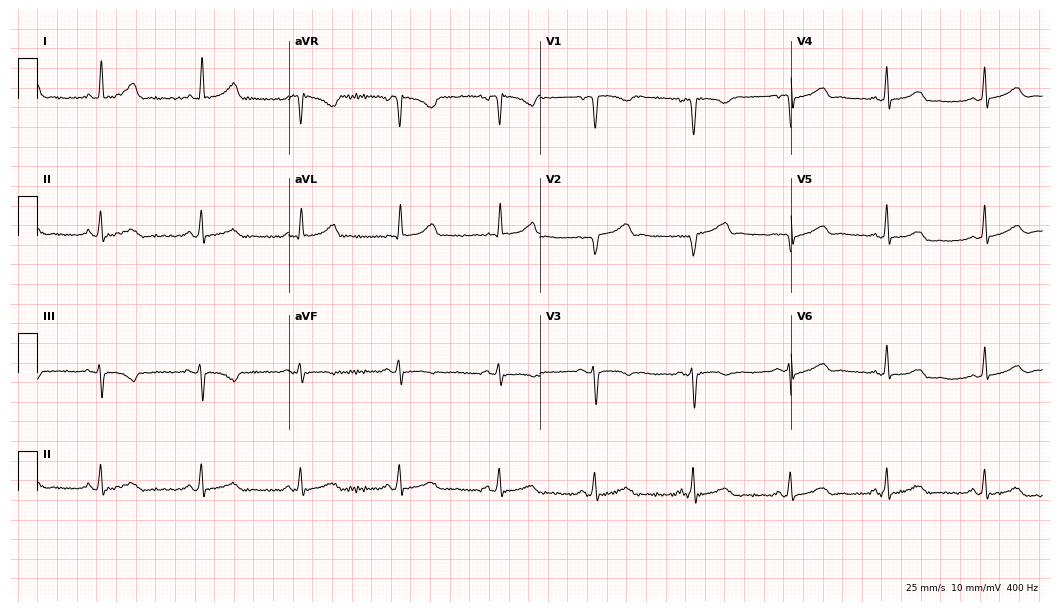
Resting 12-lead electrocardiogram (10.2-second recording at 400 Hz). Patient: a 34-year-old woman. None of these six findings is recorded: first-degree AV block, right bundle branch block, left bundle branch block, sinus bradycardia, atrial fibrillation, sinus tachycardia. Only these six findings were labelled.